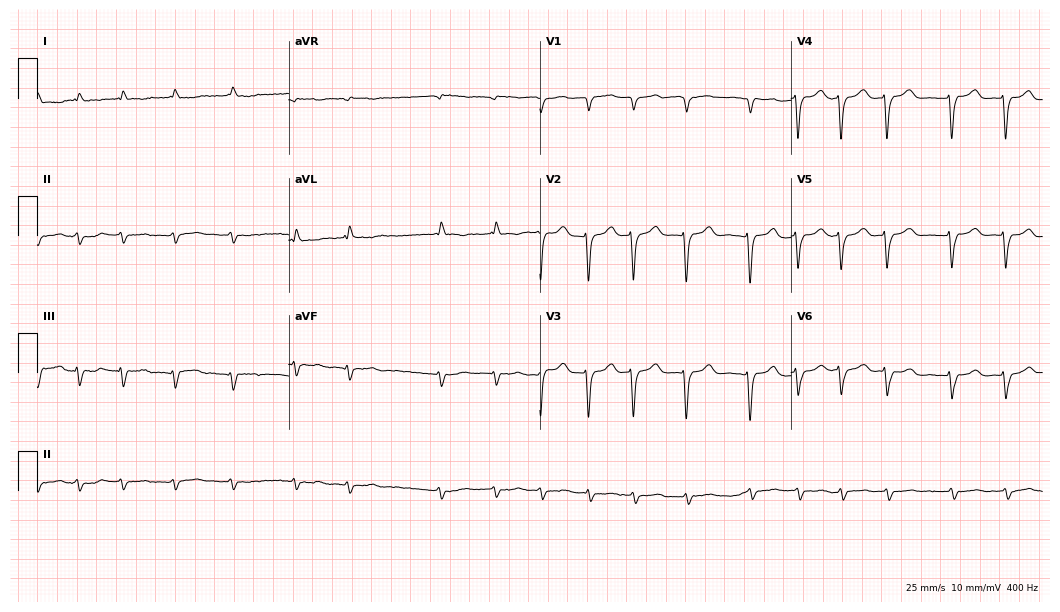
Resting 12-lead electrocardiogram. Patient: a female, 82 years old. The tracing shows atrial fibrillation.